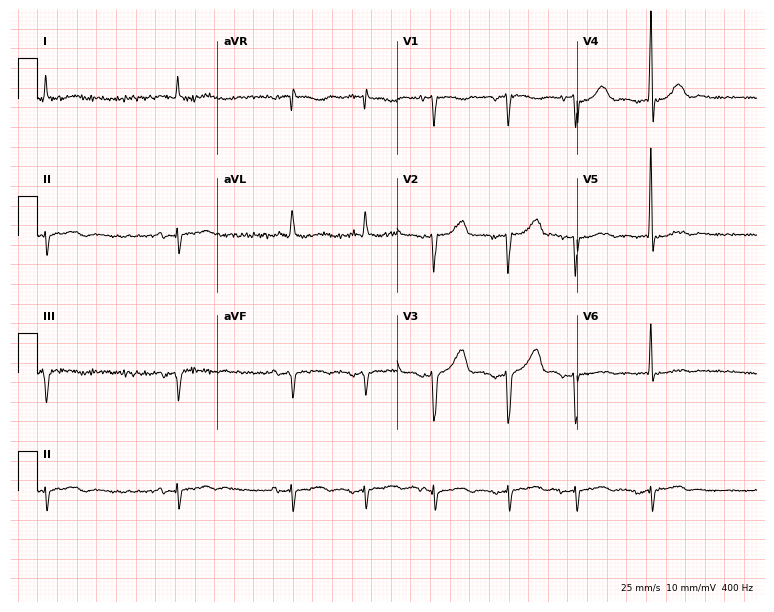
Standard 12-lead ECG recorded from a 77-year-old man. None of these six findings is recorded: first-degree AV block, right bundle branch block (RBBB), left bundle branch block (LBBB), sinus bradycardia, atrial fibrillation (AF), sinus tachycardia.